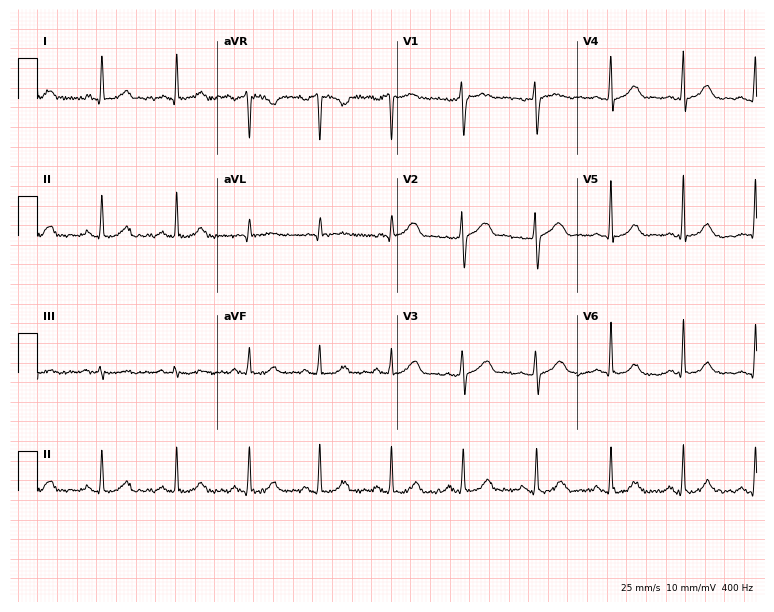
Resting 12-lead electrocardiogram (7.3-second recording at 400 Hz). Patient: a woman, 54 years old. Read as a normal ECG.